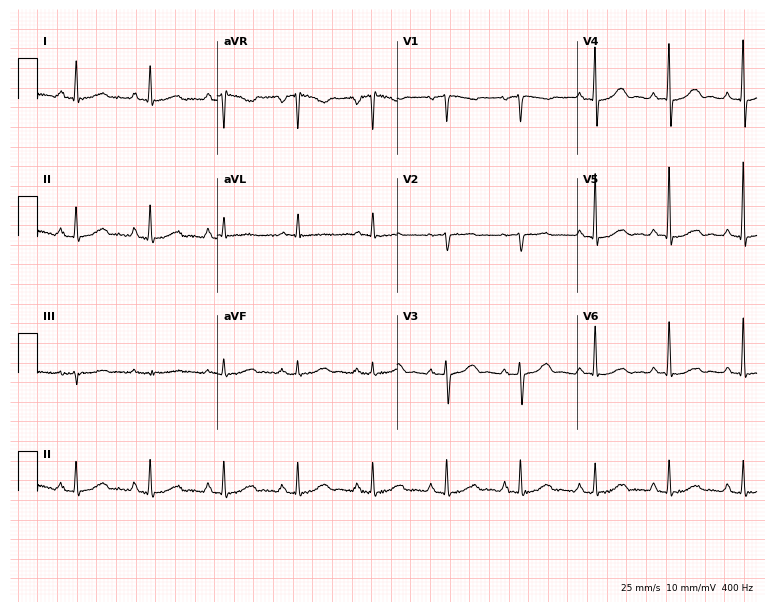
12-lead ECG from a woman, 71 years old. No first-degree AV block, right bundle branch block, left bundle branch block, sinus bradycardia, atrial fibrillation or sinus tachycardia recorded for this tracing. Findings outside these six are not listed.